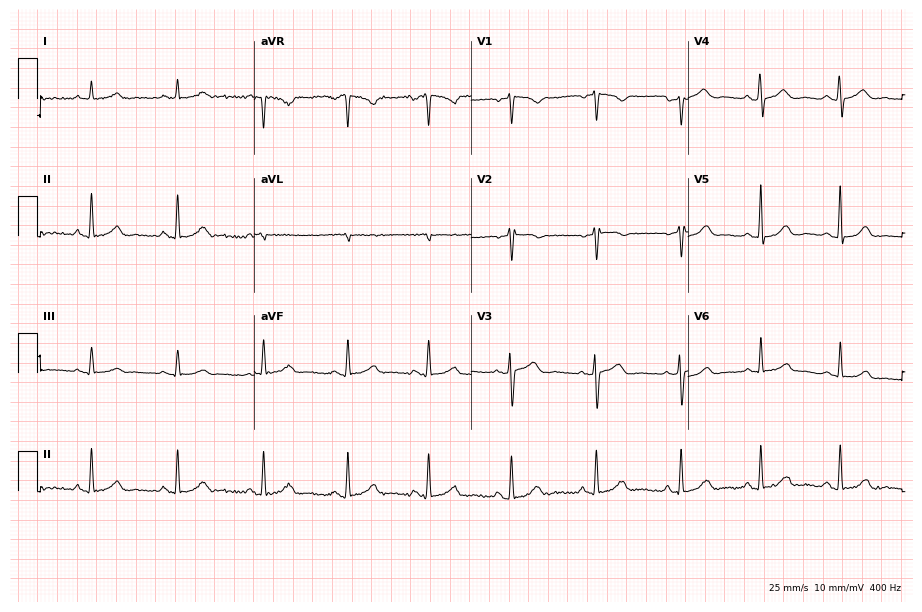
ECG — a female patient, 45 years old. Labelled as a normal ECG.